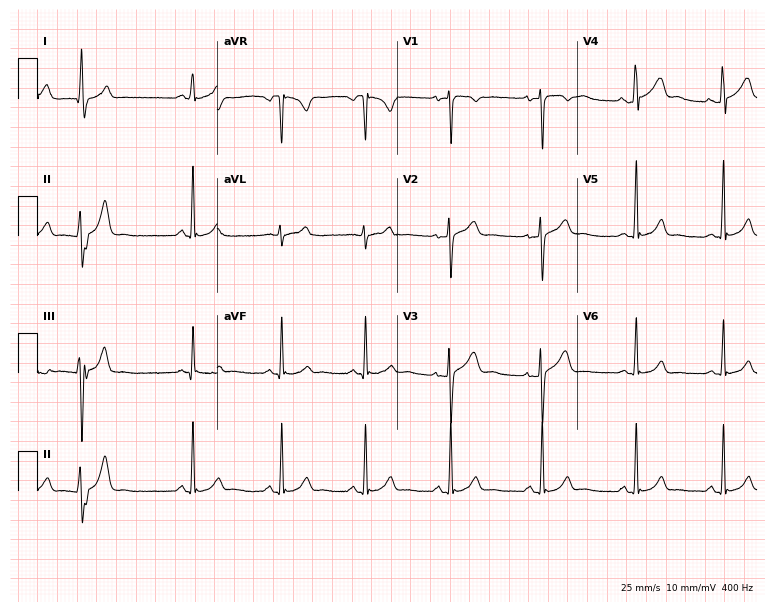
12-lead ECG (7.3-second recording at 400 Hz) from a female patient, 29 years old. Screened for six findings — first-degree AV block, right bundle branch block, left bundle branch block, sinus bradycardia, atrial fibrillation, sinus tachycardia — none is recorded.